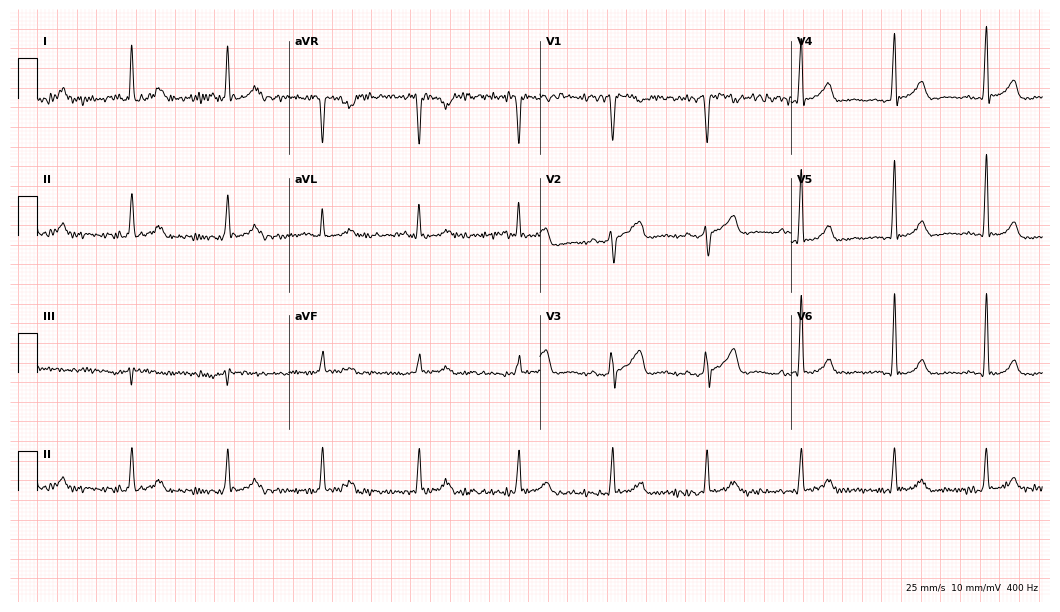
ECG — a male, 59 years old. Labelled as a normal ECG.